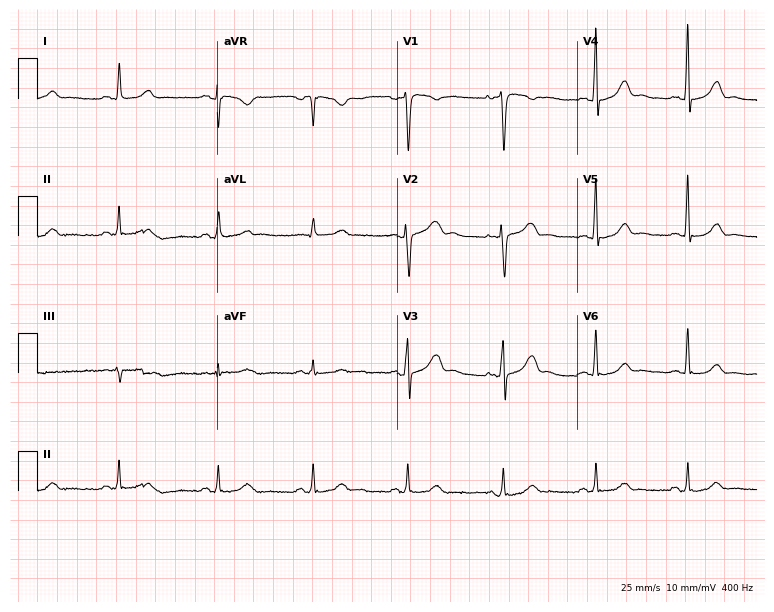
Electrocardiogram (7.3-second recording at 400 Hz), a 50-year-old female. Overall reading on record: normal ECG.